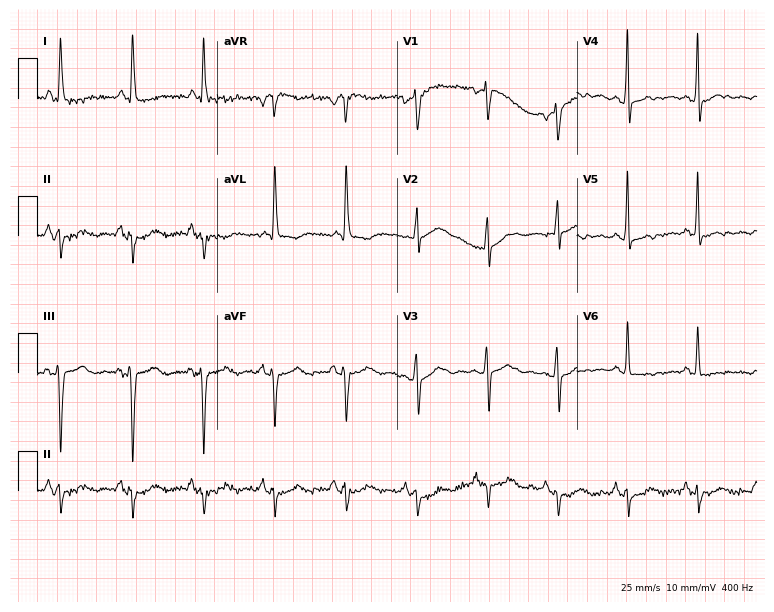
Electrocardiogram (7.3-second recording at 400 Hz), a 74-year-old female. Of the six screened findings (first-degree AV block, right bundle branch block, left bundle branch block, sinus bradycardia, atrial fibrillation, sinus tachycardia), none is recorded.